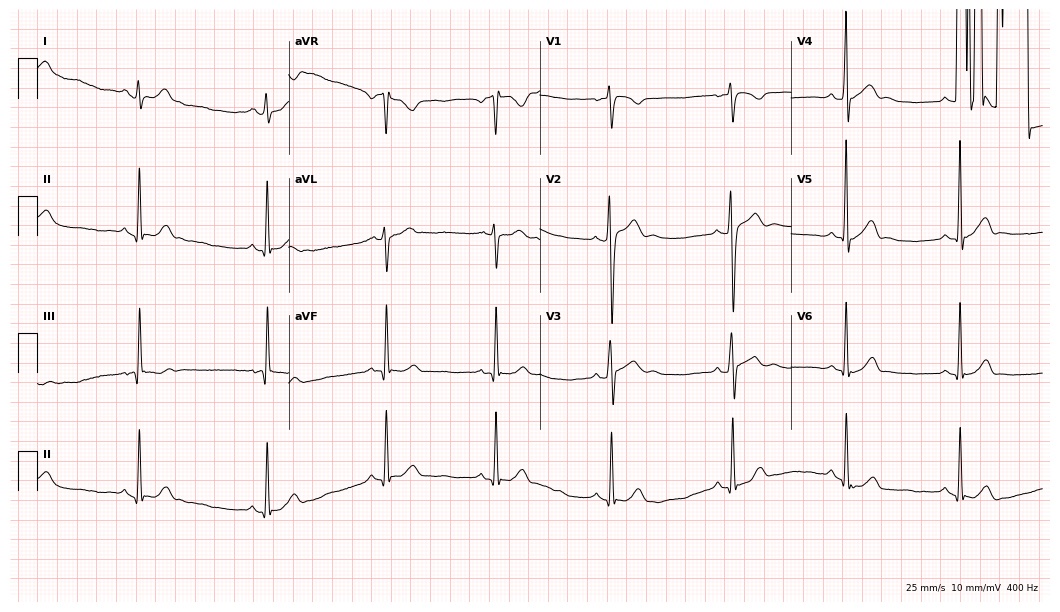
Electrocardiogram (10.2-second recording at 400 Hz), a man, 18 years old. Interpretation includes sinus bradycardia (a sinus rate of 50 beats per minute or less).